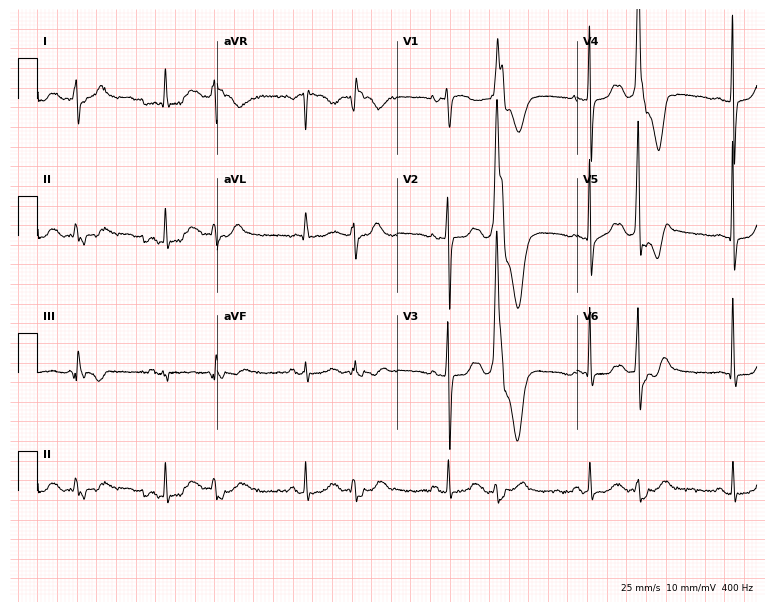
Standard 12-lead ECG recorded from a 35-year-old woman. None of these six findings is recorded: first-degree AV block, right bundle branch block, left bundle branch block, sinus bradycardia, atrial fibrillation, sinus tachycardia.